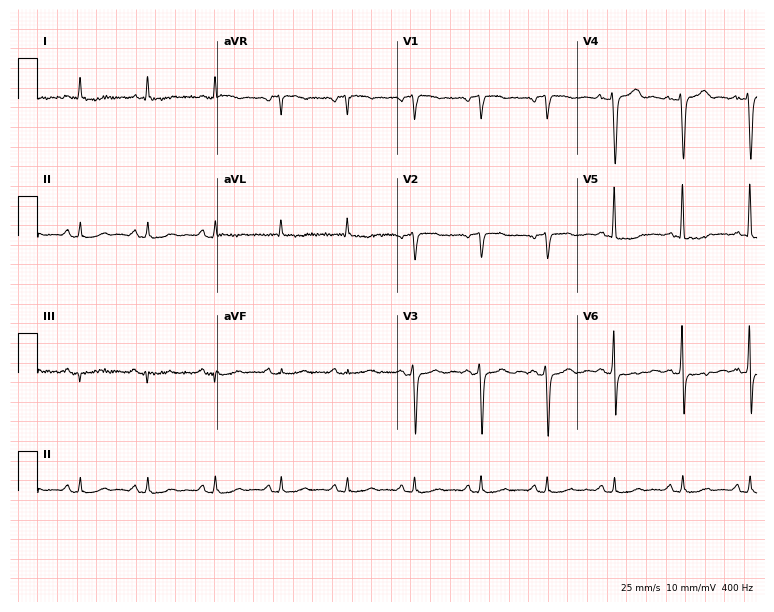
12-lead ECG from a male, 65 years old. No first-degree AV block, right bundle branch block, left bundle branch block, sinus bradycardia, atrial fibrillation or sinus tachycardia recorded for this tracing.